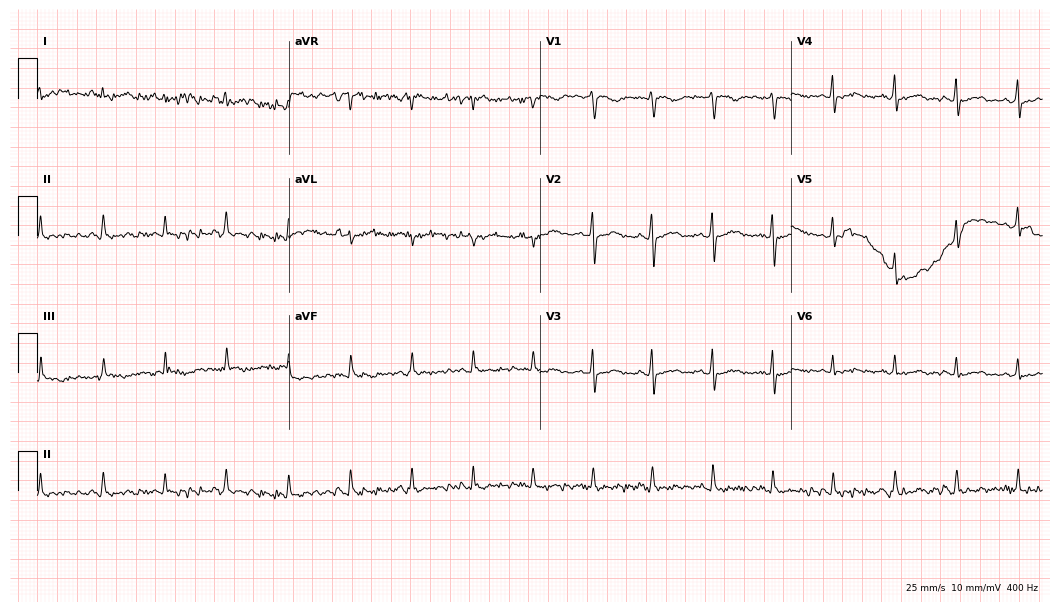
Resting 12-lead electrocardiogram. Patient: a 30-year-old female. None of these six findings is recorded: first-degree AV block, right bundle branch block, left bundle branch block, sinus bradycardia, atrial fibrillation, sinus tachycardia.